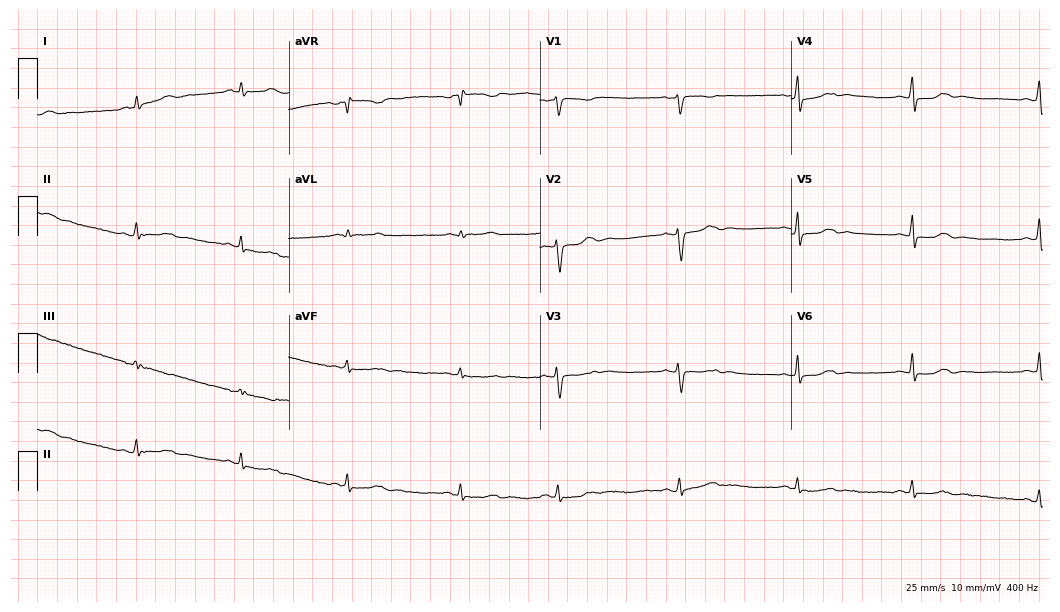
Standard 12-lead ECG recorded from a 24-year-old woman. Read as a normal ECG.